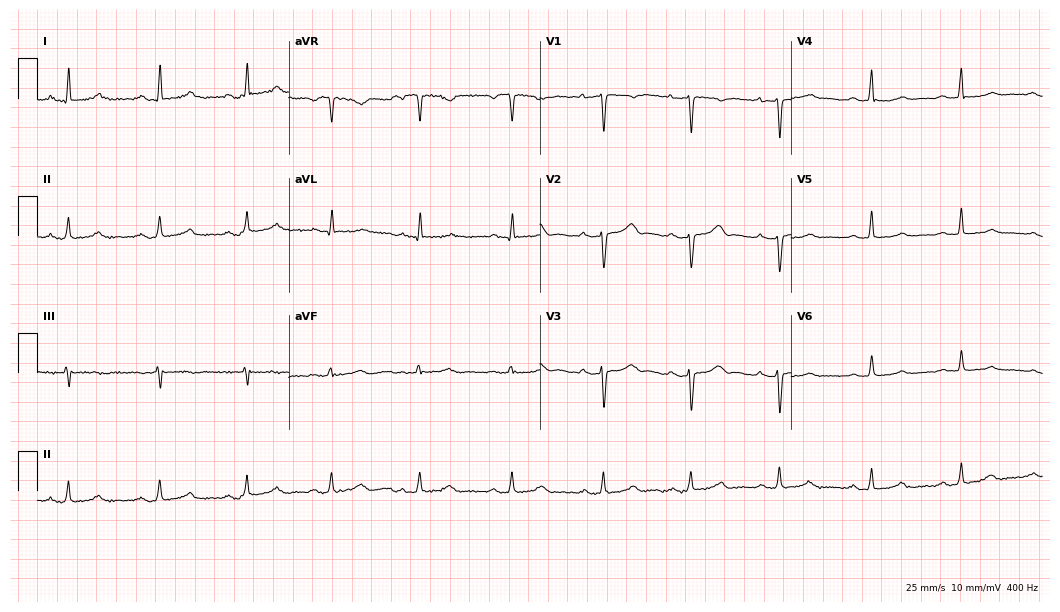
Resting 12-lead electrocardiogram. Patient: a woman, 25 years old. None of these six findings is recorded: first-degree AV block, right bundle branch block, left bundle branch block, sinus bradycardia, atrial fibrillation, sinus tachycardia.